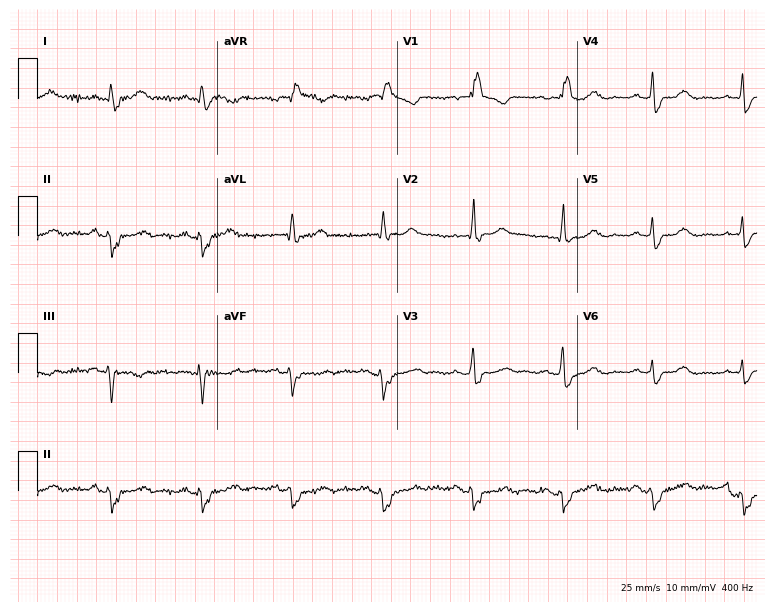
Standard 12-lead ECG recorded from a woman, 60 years old. The tracing shows right bundle branch block.